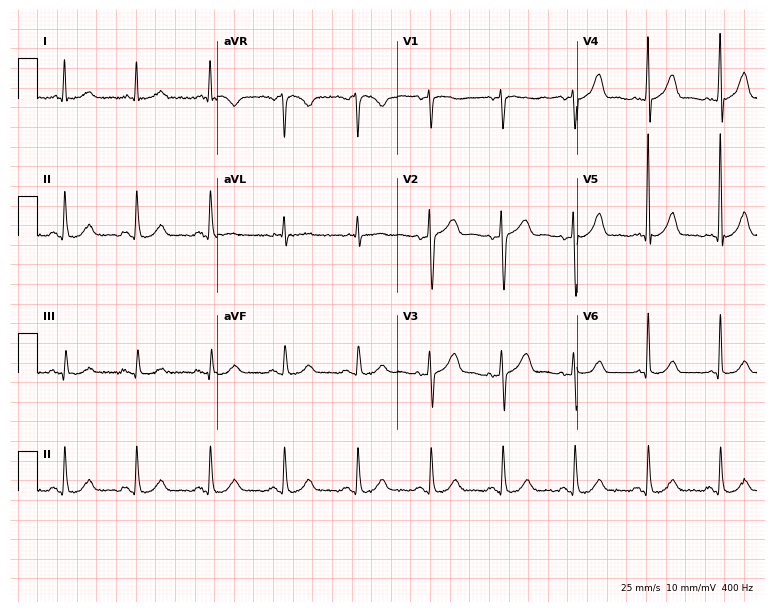
12-lead ECG from a 77-year-old man. Recorded interpretation: within normal limits.